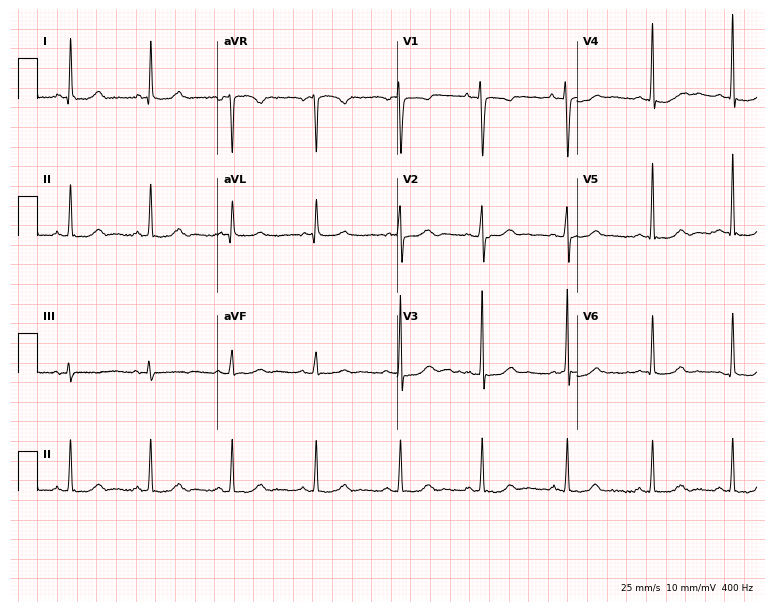
ECG (7.3-second recording at 400 Hz) — a female patient, 41 years old. Screened for six findings — first-degree AV block, right bundle branch block (RBBB), left bundle branch block (LBBB), sinus bradycardia, atrial fibrillation (AF), sinus tachycardia — none is recorded. Other findings, if any, are not listed.